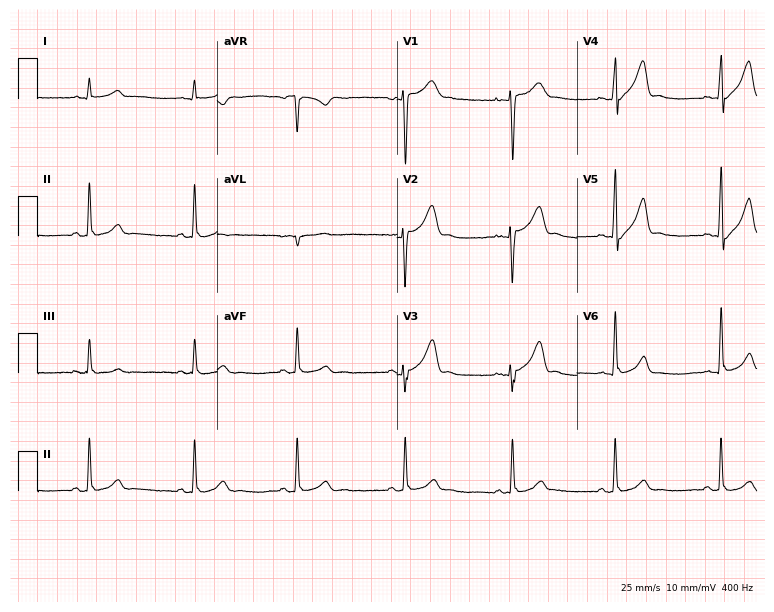
12-lead ECG from a 30-year-old man. Recorded interpretation: within normal limits.